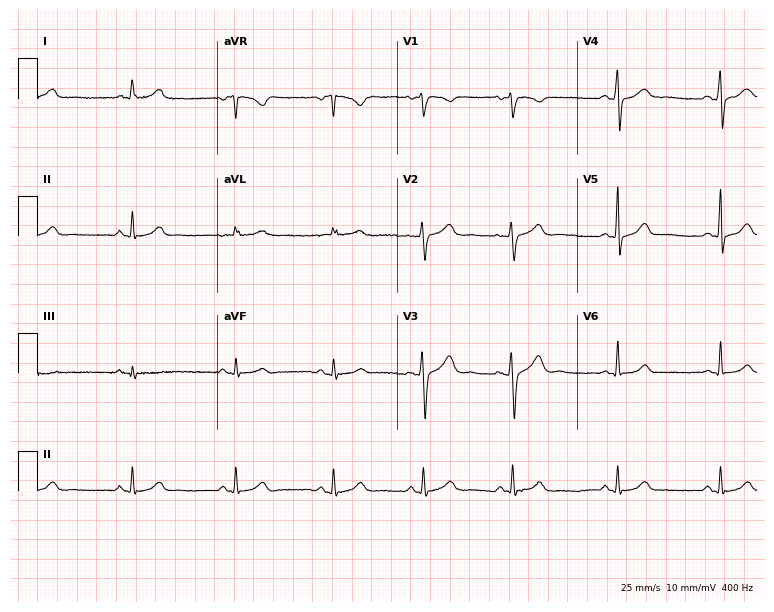
12-lead ECG from a 29-year-old female. Labelled as a normal ECG.